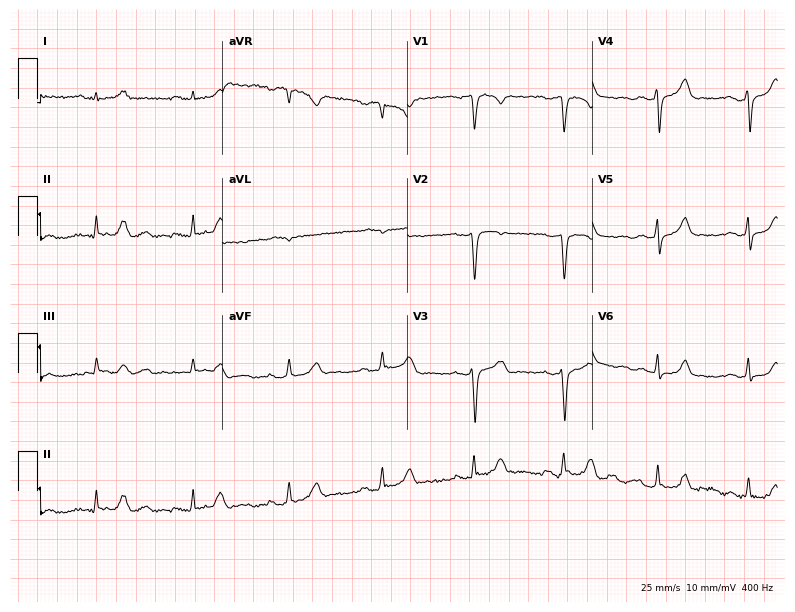
Standard 12-lead ECG recorded from a 50-year-old man. None of these six findings is recorded: first-degree AV block, right bundle branch block, left bundle branch block, sinus bradycardia, atrial fibrillation, sinus tachycardia.